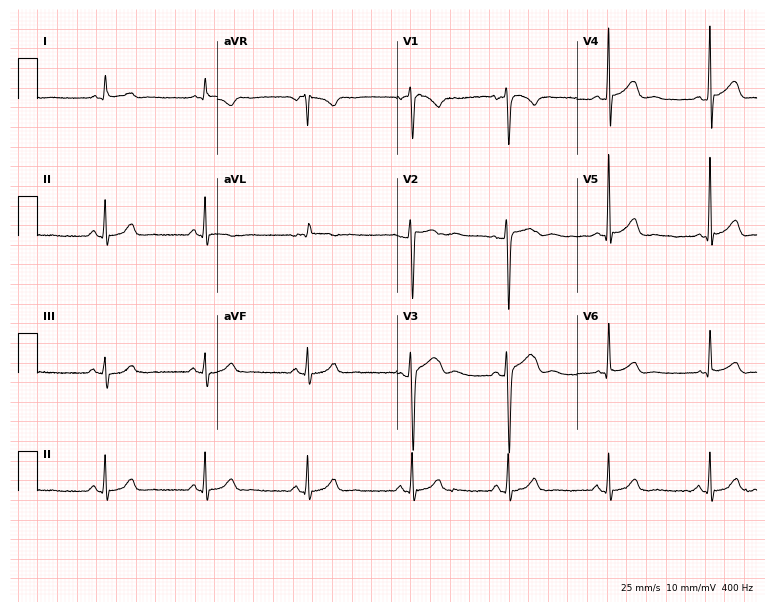
Resting 12-lead electrocardiogram (7.3-second recording at 400 Hz). Patient: a 31-year-old male. Read as a normal ECG.